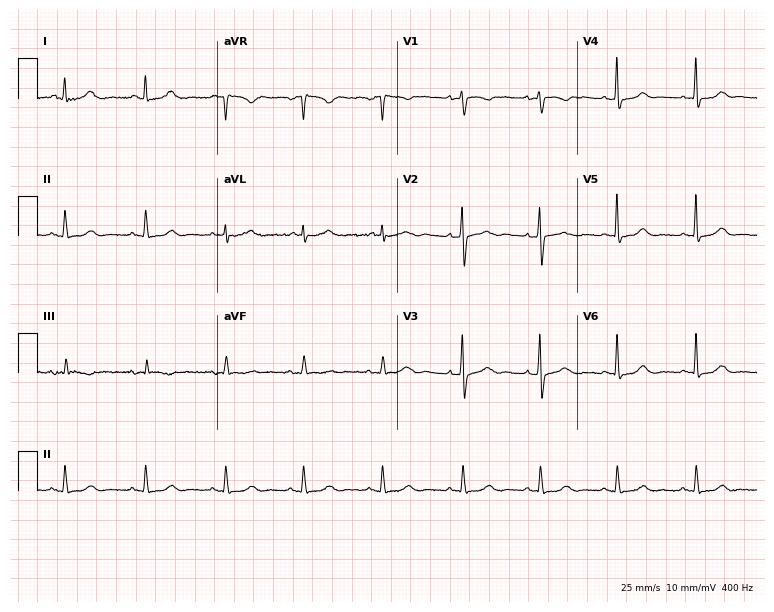
Standard 12-lead ECG recorded from a female patient, 29 years old. None of these six findings is recorded: first-degree AV block, right bundle branch block, left bundle branch block, sinus bradycardia, atrial fibrillation, sinus tachycardia.